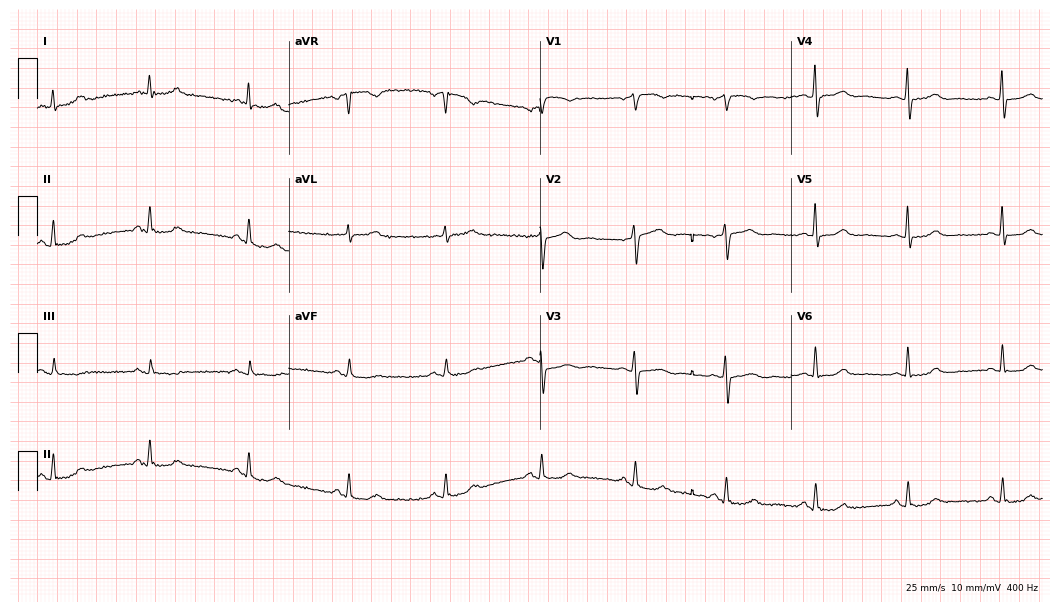
12-lead ECG (10.2-second recording at 400 Hz) from a female, 57 years old. Labelled as a normal ECG.